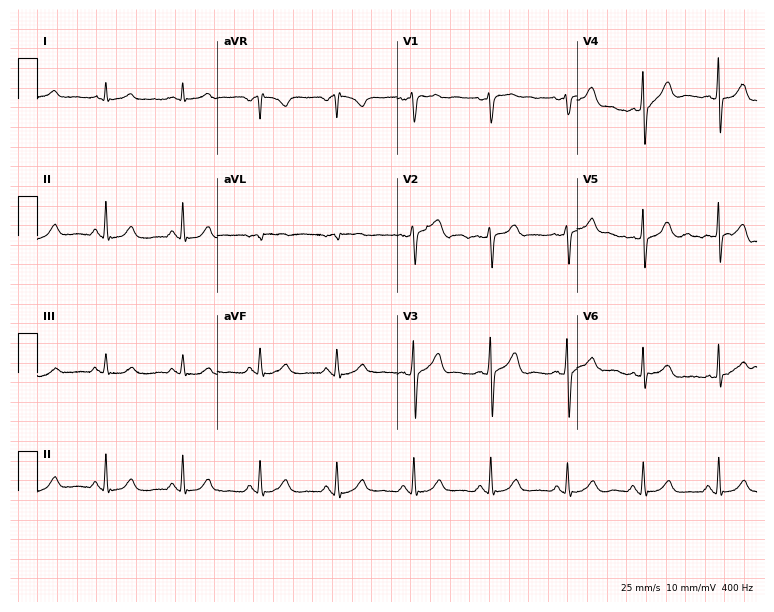
Resting 12-lead electrocardiogram (7.3-second recording at 400 Hz). Patient: a 46-year-old man. None of these six findings is recorded: first-degree AV block, right bundle branch block, left bundle branch block, sinus bradycardia, atrial fibrillation, sinus tachycardia. Findings outside these six are not listed.